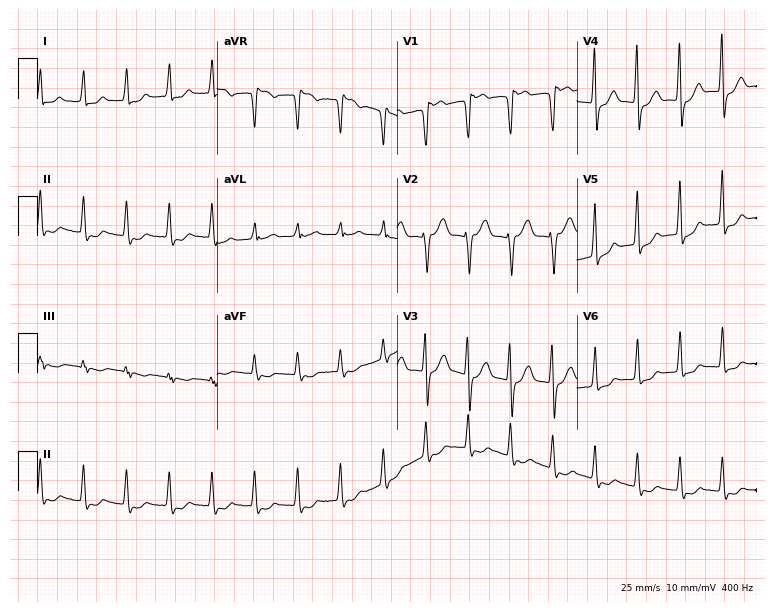
Resting 12-lead electrocardiogram. Patient: a 66-year-old male. The tracing shows sinus tachycardia (a sinus rate of 100 beats per minute or more).